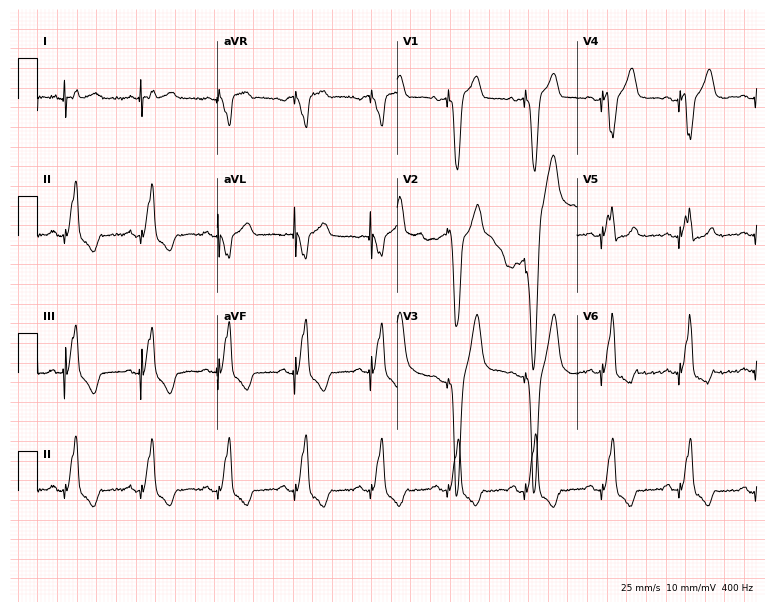
12-lead ECG from a male, 83 years old. Screened for six findings — first-degree AV block, right bundle branch block (RBBB), left bundle branch block (LBBB), sinus bradycardia, atrial fibrillation (AF), sinus tachycardia — none is recorded. Other findings, if any, are not listed.